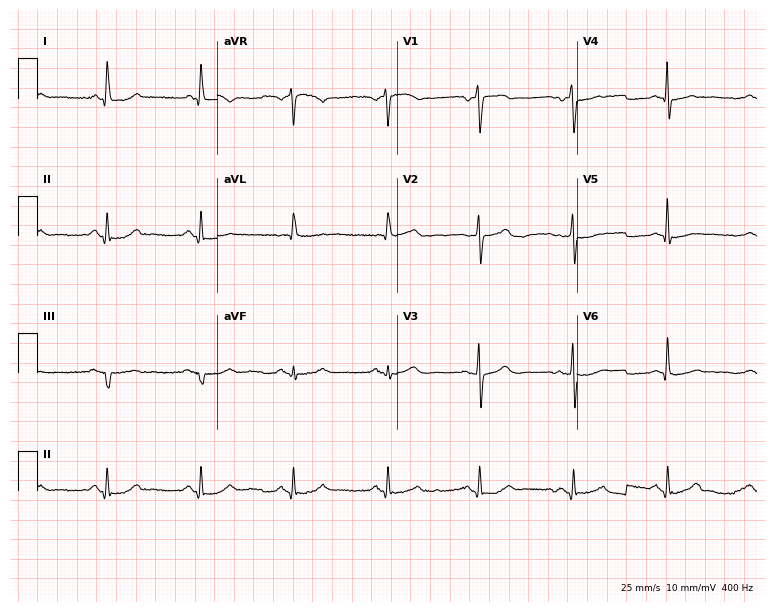
12-lead ECG from a female, 67 years old (7.3-second recording at 400 Hz). No first-degree AV block, right bundle branch block, left bundle branch block, sinus bradycardia, atrial fibrillation or sinus tachycardia recorded for this tracing.